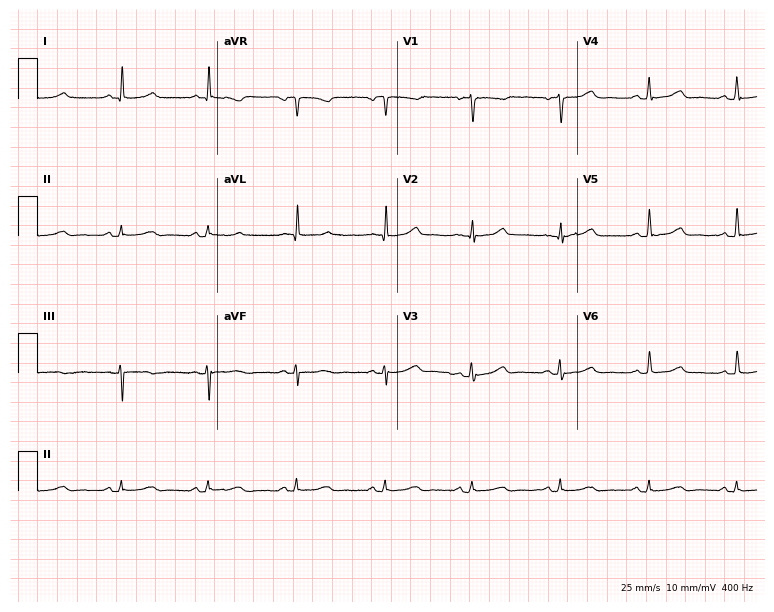
Standard 12-lead ECG recorded from a 47-year-old female patient. Read as a normal ECG.